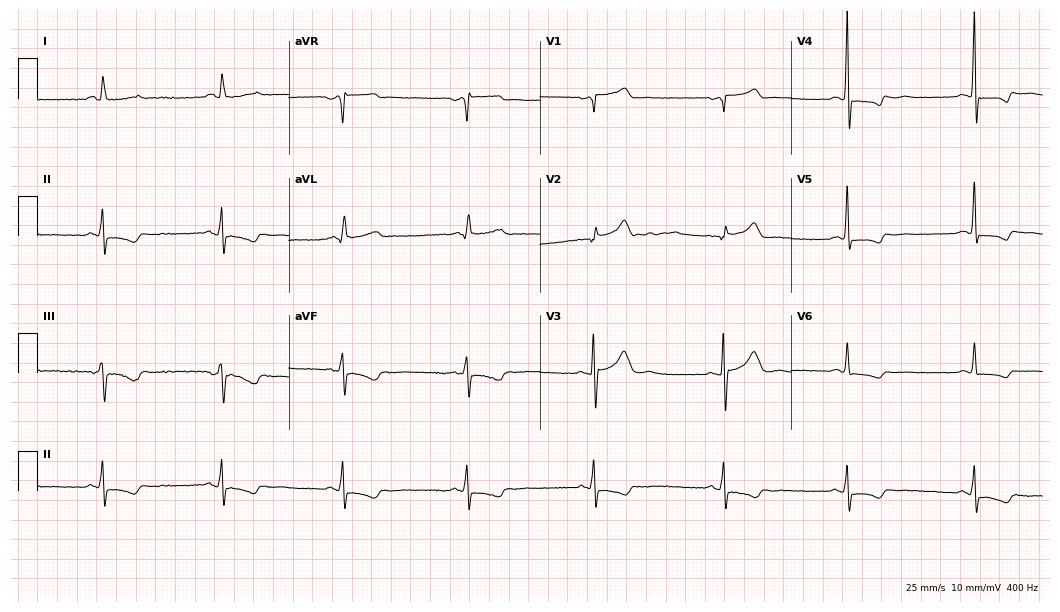
ECG (10.2-second recording at 400 Hz) — a male, 68 years old. Screened for six findings — first-degree AV block, right bundle branch block, left bundle branch block, sinus bradycardia, atrial fibrillation, sinus tachycardia — none is recorded. Only these six findings were labelled.